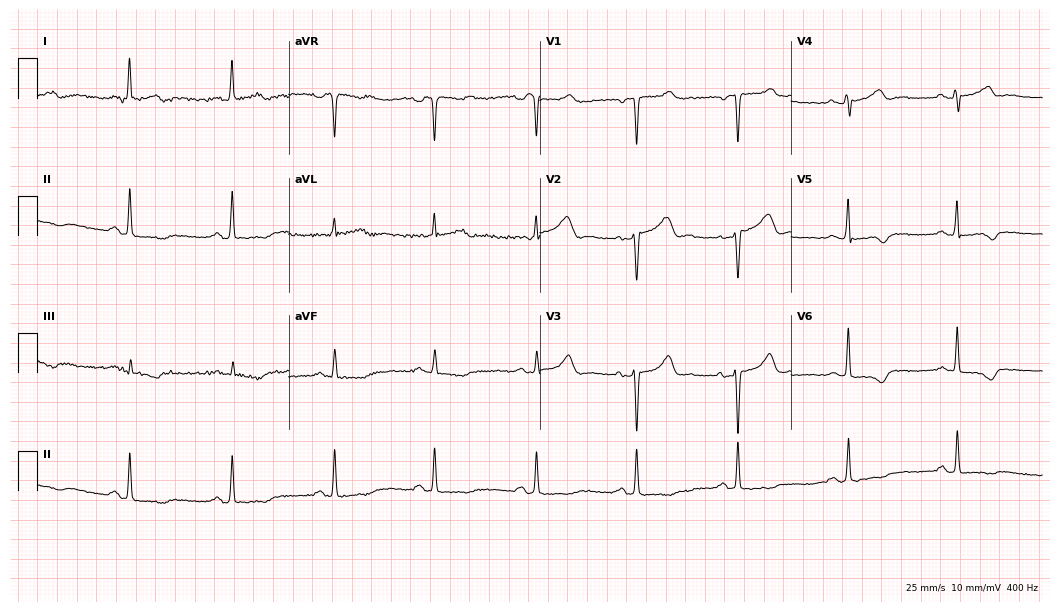
Resting 12-lead electrocardiogram (10.2-second recording at 400 Hz). Patient: a female, 60 years old. None of these six findings is recorded: first-degree AV block, right bundle branch block, left bundle branch block, sinus bradycardia, atrial fibrillation, sinus tachycardia.